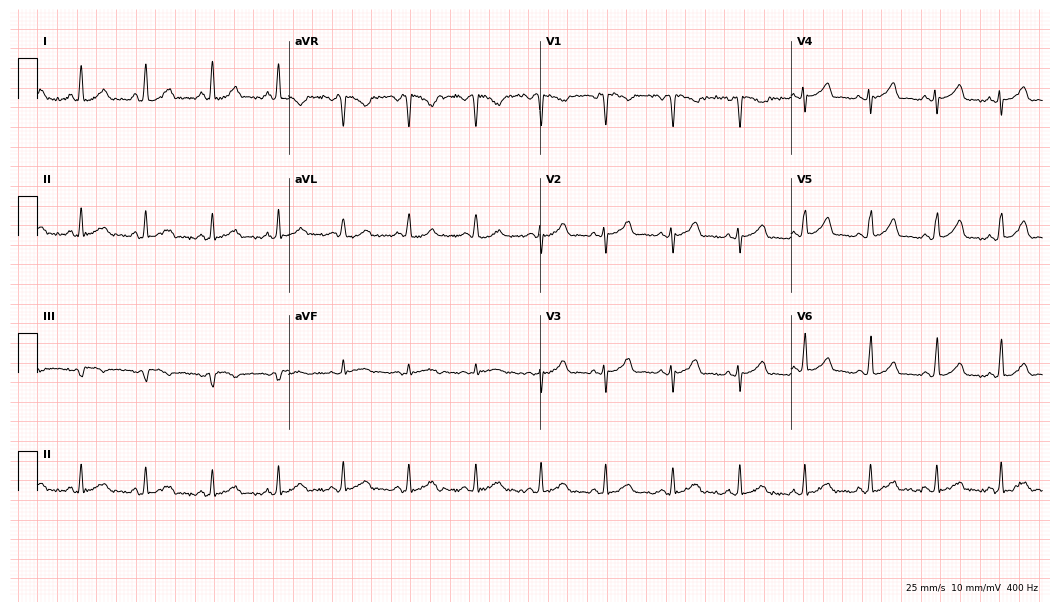
Electrocardiogram (10.2-second recording at 400 Hz), a 48-year-old female. Overall reading on record: normal ECG.